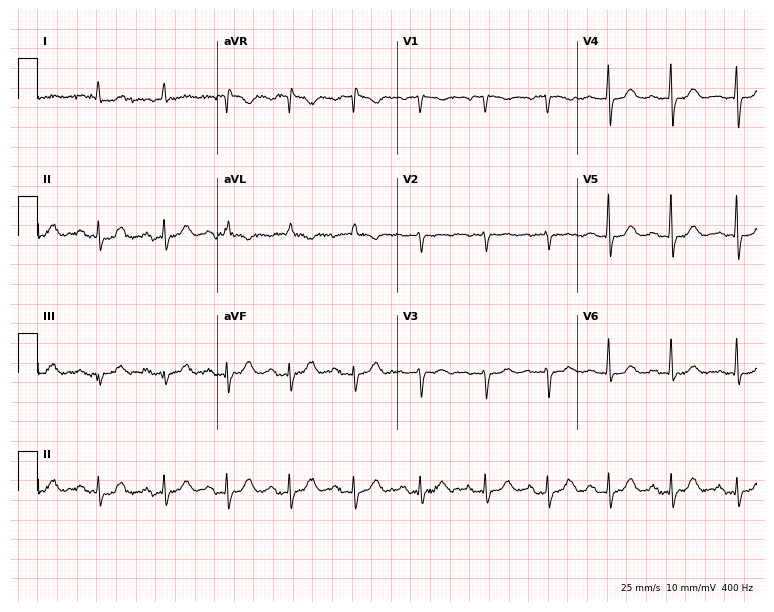
Standard 12-lead ECG recorded from an 82-year-old female patient. None of these six findings is recorded: first-degree AV block, right bundle branch block, left bundle branch block, sinus bradycardia, atrial fibrillation, sinus tachycardia. Findings outside these six are not listed.